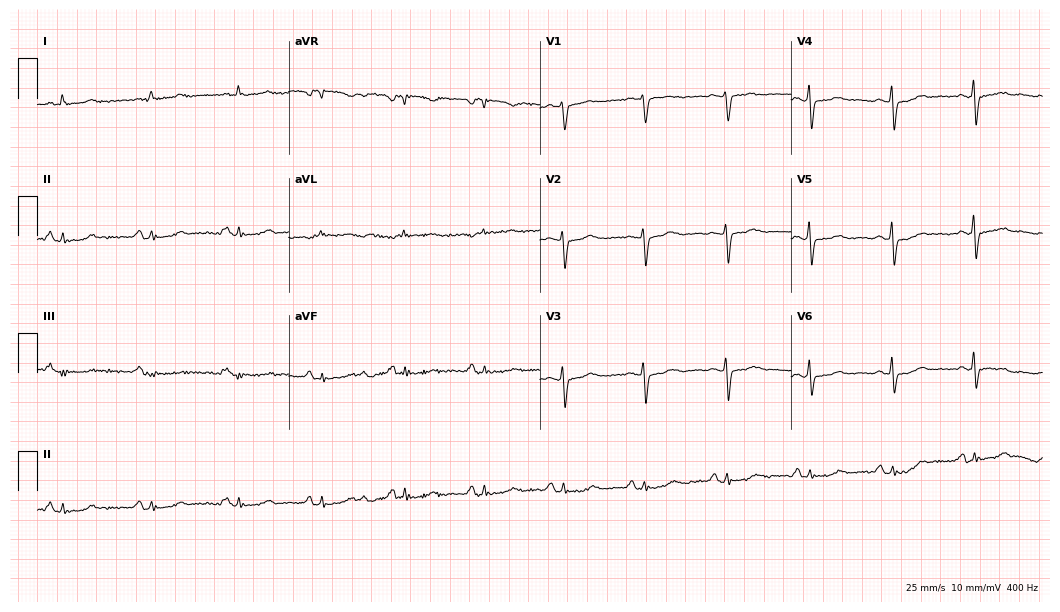
ECG (10.2-second recording at 400 Hz) — a female, 66 years old. Screened for six findings — first-degree AV block, right bundle branch block, left bundle branch block, sinus bradycardia, atrial fibrillation, sinus tachycardia — none is recorded. Other findings, if any, are not listed.